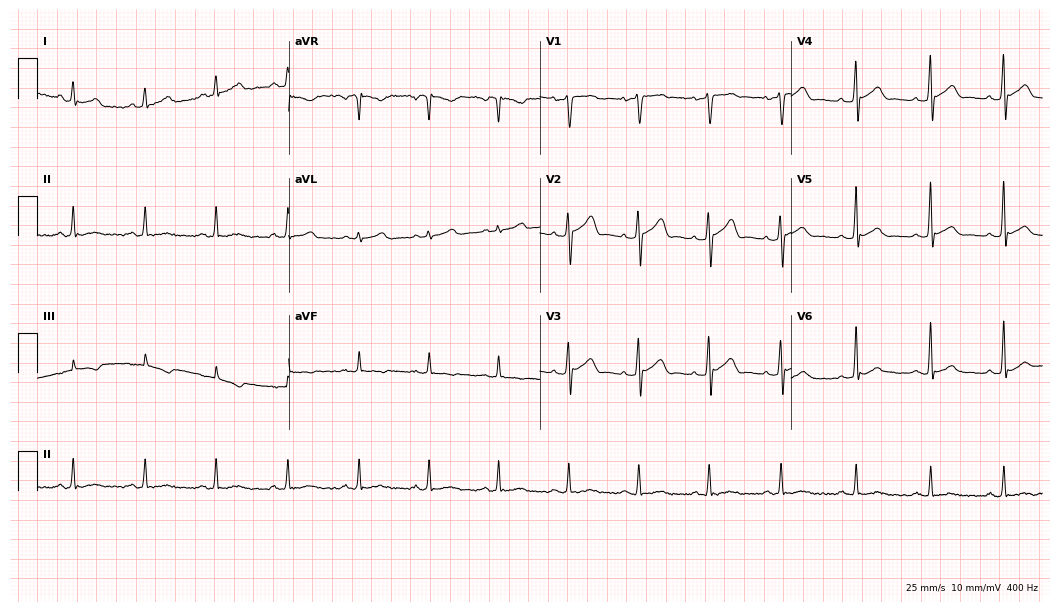
ECG — a 30-year-old male. Screened for six findings — first-degree AV block, right bundle branch block (RBBB), left bundle branch block (LBBB), sinus bradycardia, atrial fibrillation (AF), sinus tachycardia — none is recorded.